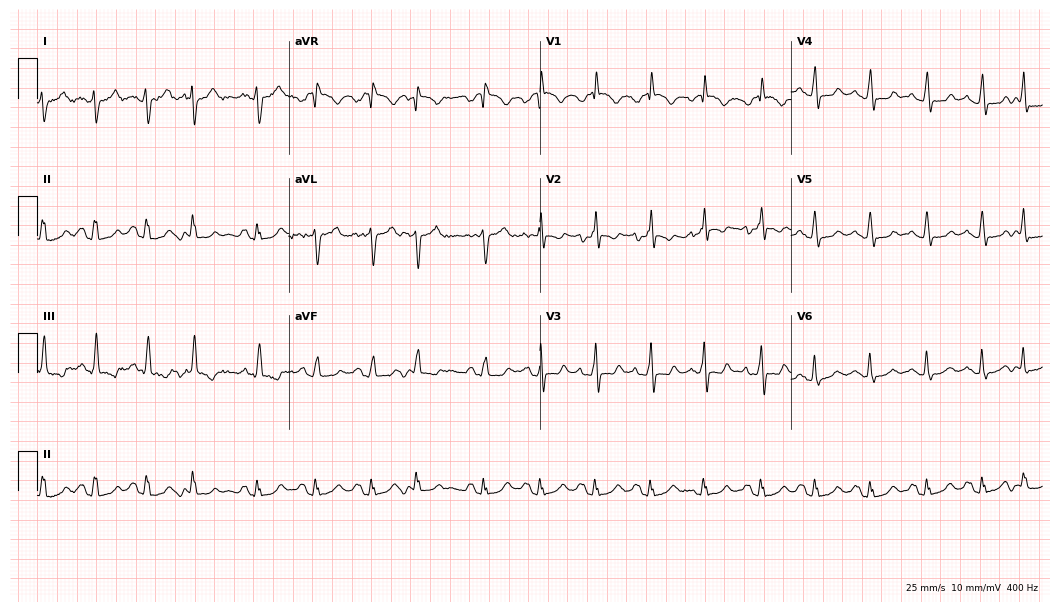
Standard 12-lead ECG recorded from a 24-year-old woman. The tracing shows sinus tachycardia (a sinus rate of 100 beats per minute or more).